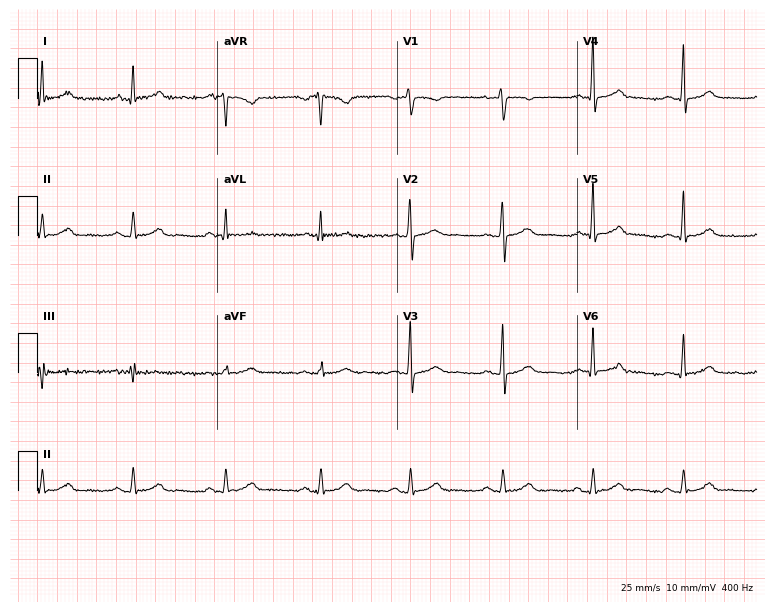
12-lead ECG from a 42-year-old female. No first-degree AV block, right bundle branch block, left bundle branch block, sinus bradycardia, atrial fibrillation or sinus tachycardia recorded for this tracing.